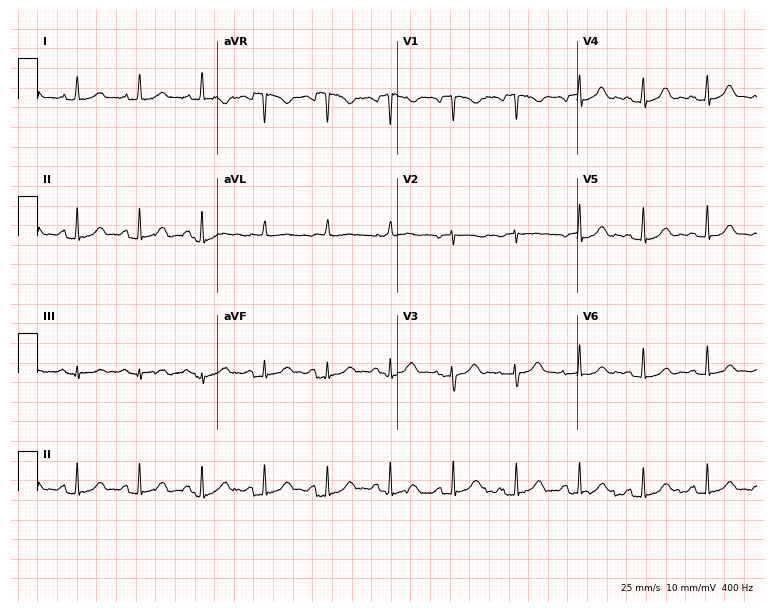
Standard 12-lead ECG recorded from a female, 55 years old (7.3-second recording at 400 Hz). Read as a normal ECG.